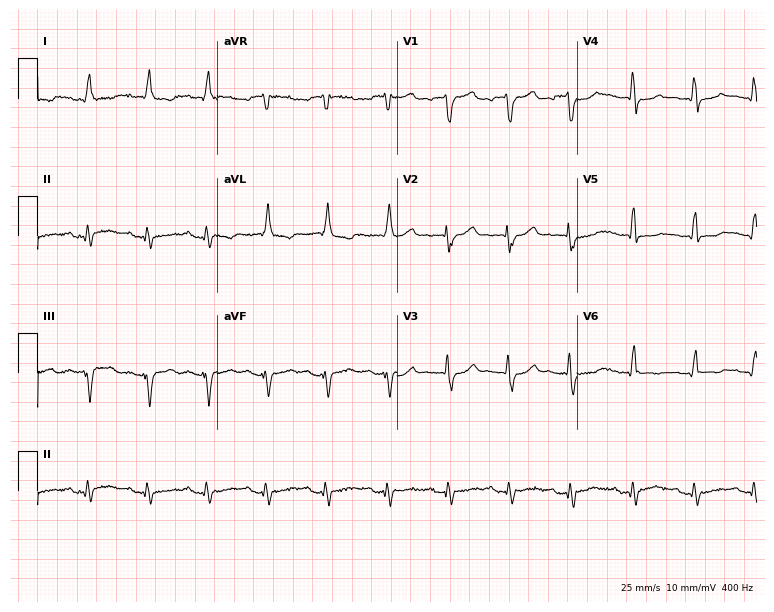
12-lead ECG from an 82-year-old man (7.3-second recording at 400 Hz). Shows left bundle branch block (LBBB), sinus tachycardia (a sinus rate of 100 beats per minute or more).